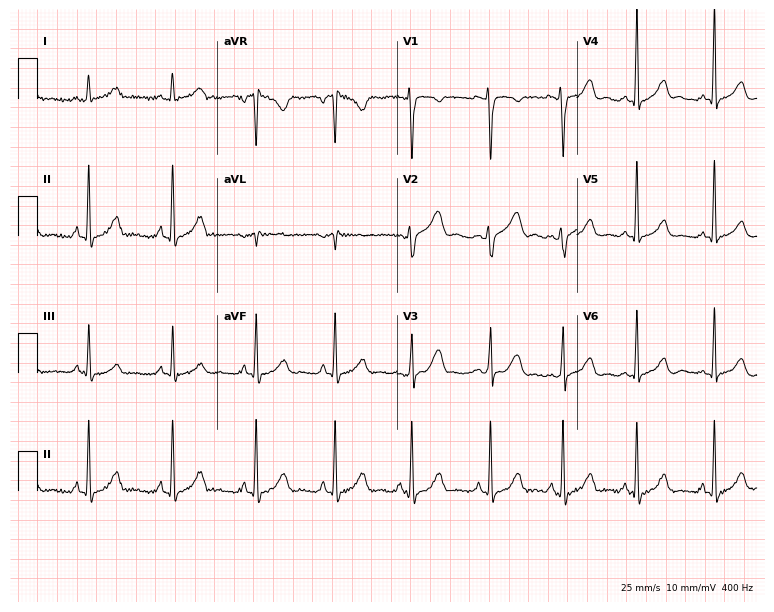
Resting 12-lead electrocardiogram (7.3-second recording at 400 Hz). Patient: a female, 32 years old. Read as a normal ECG.